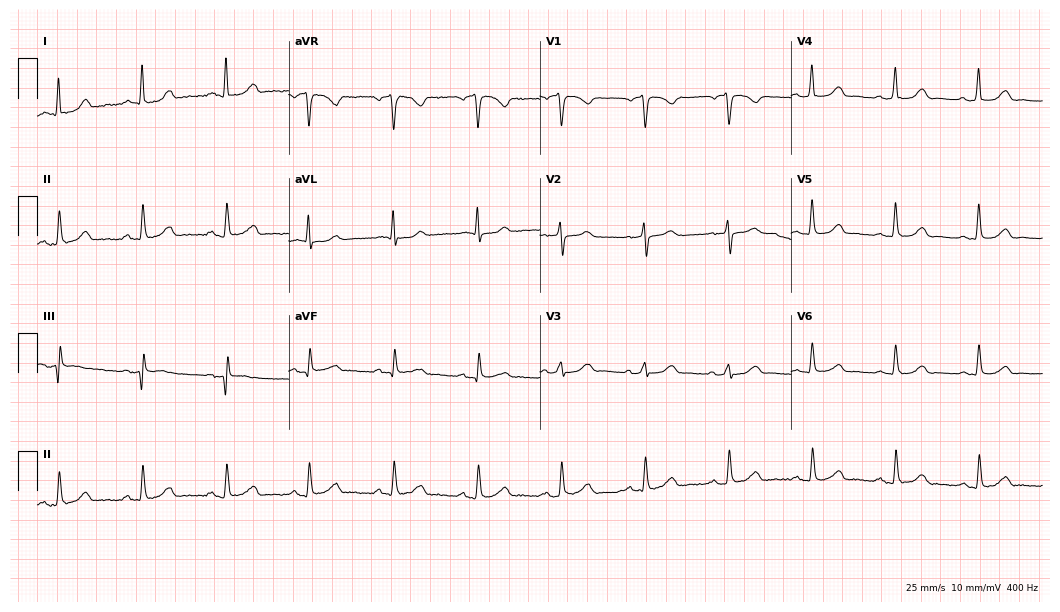
Resting 12-lead electrocardiogram. Patient: a 59-year-old female. None of these six findings is recorded: first-degree AV block, right bundle branch block, left bundle branch block, sinus bradycardia, atrial fibrillation, sinus tachycardia.